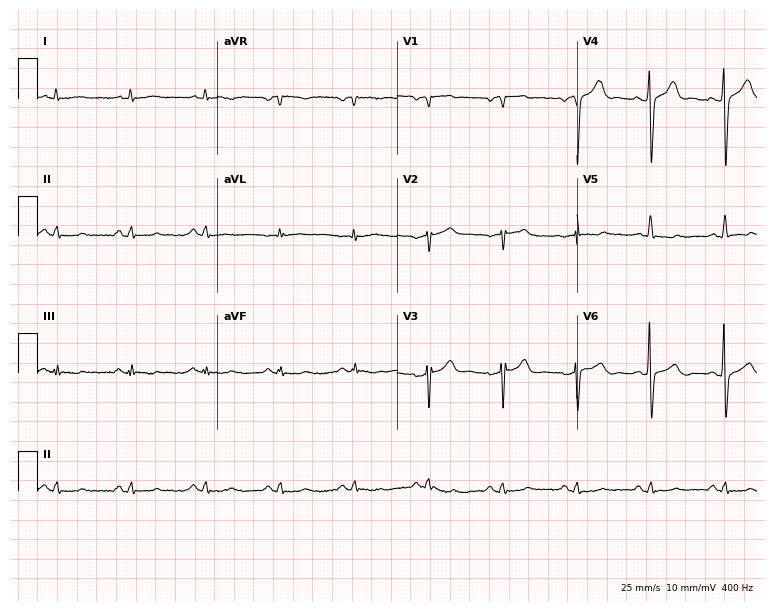
Electrocardiogram (7.3-second recording at 400 Hz), a man, 55 years old. Of the six screened findings (first-degree AV block, right bundle branch block, left bundle branch block, sinus bradycardia, atrial fibrillation, sinus tachycardia), none is recorded. Other findings, if any, are not listed.